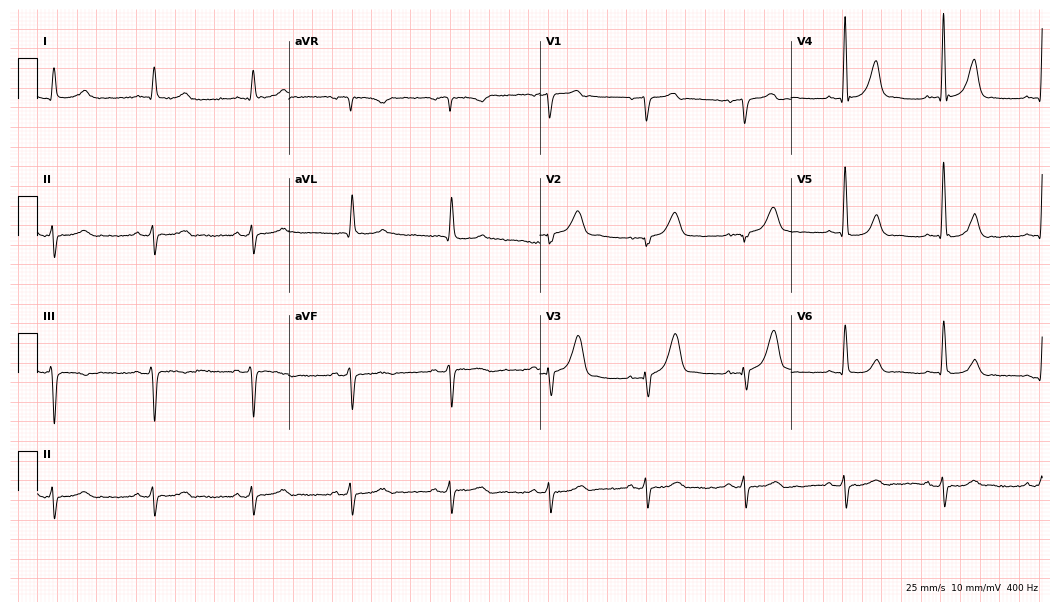
Electrocardiogram, an 84-year-old male. Of the six screened findings (first-degree AV block, right bundle branch block, left bundle branch block, sinus bradycardia, atrial fibrillation, sinus tachycardia), none is recorded.